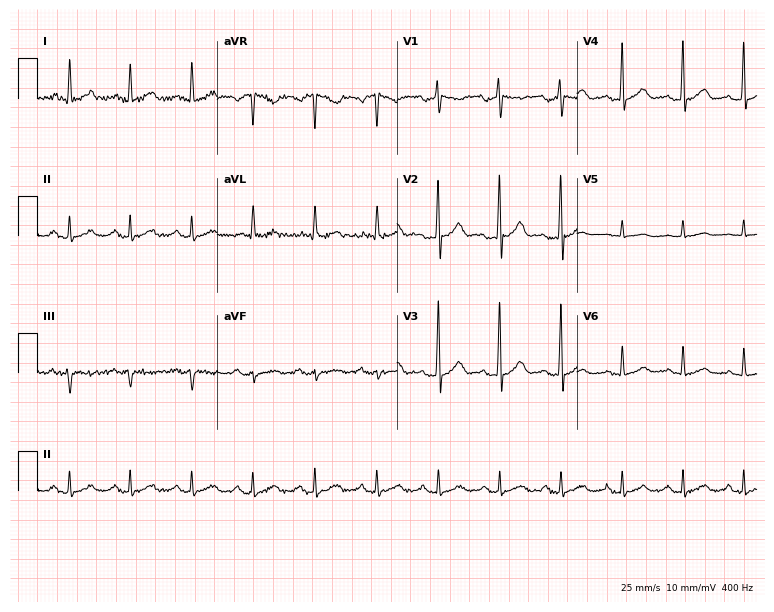
ECG — a male patient, 82 years old. Screened for six findings — first-degree AV block, right bundle branch block, left bundle branch block, sinus bradycardia, atrial fibrillation, sinus tachycardia — none is recorded.